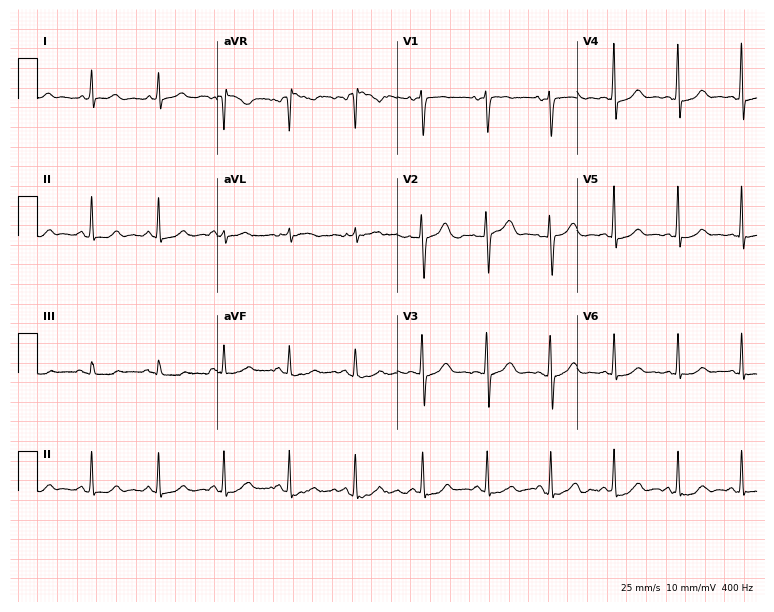
Resting 12-lead electrocardiogram (7.3-second recording at 400 Hz). Patient: a 35-year-old female. None of these six findings is recorded: first-degree AV block, right bundle branch block, left bundle branch block, sinus bradycardia, atrial fibrillation, sinus tachycardia.